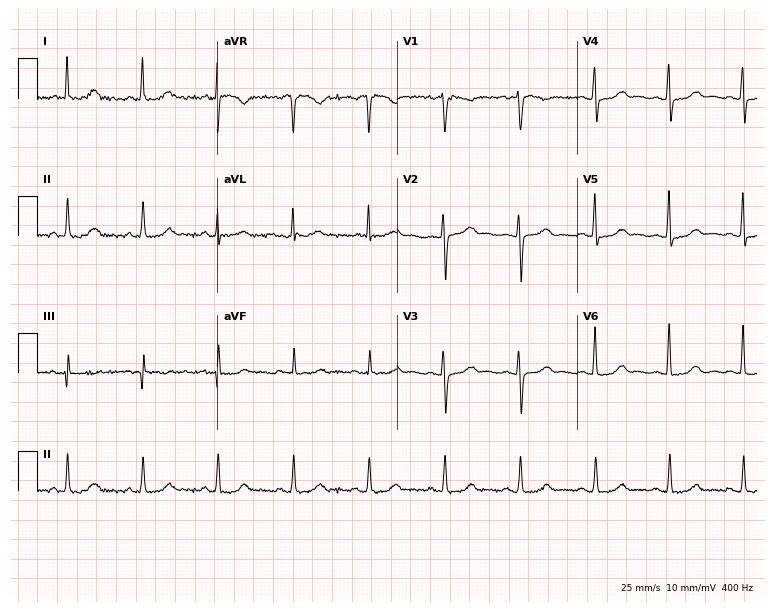
Standard 12-lead ECG recorded from a female, 50 years old (7.3-second recording at 400 Hz). Read as a normal ECG.